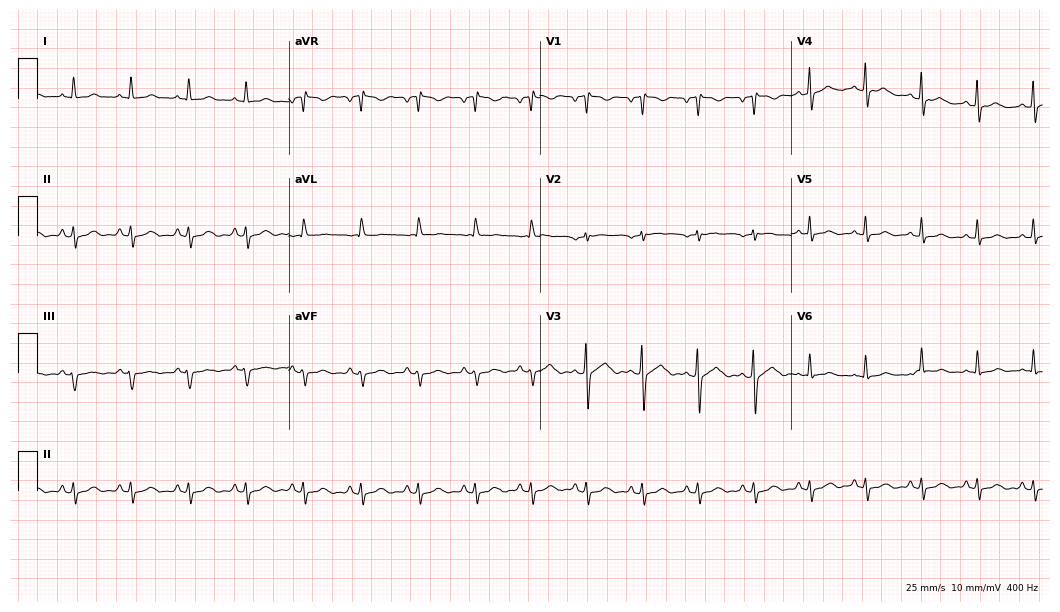
12-lead ECG from a 51-year-old woman. Findings include sinus tachycardia (a sinus rate of 100 beats per minute or more).